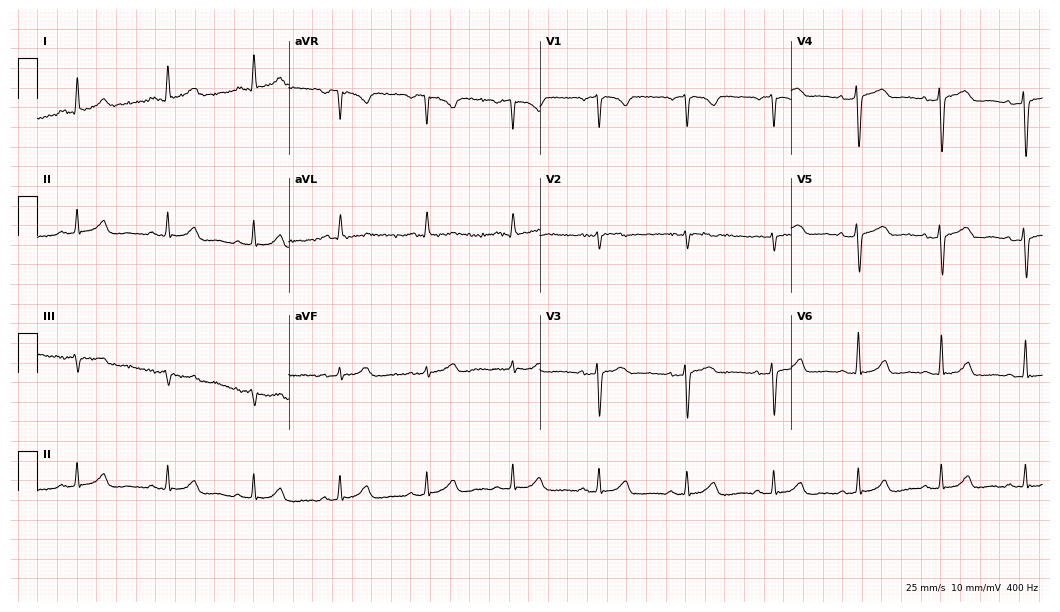
12-lead ECG from a woman, 52 years old (10.2-second recording at 400 Hz). Recorded interpretation: within normal limits.